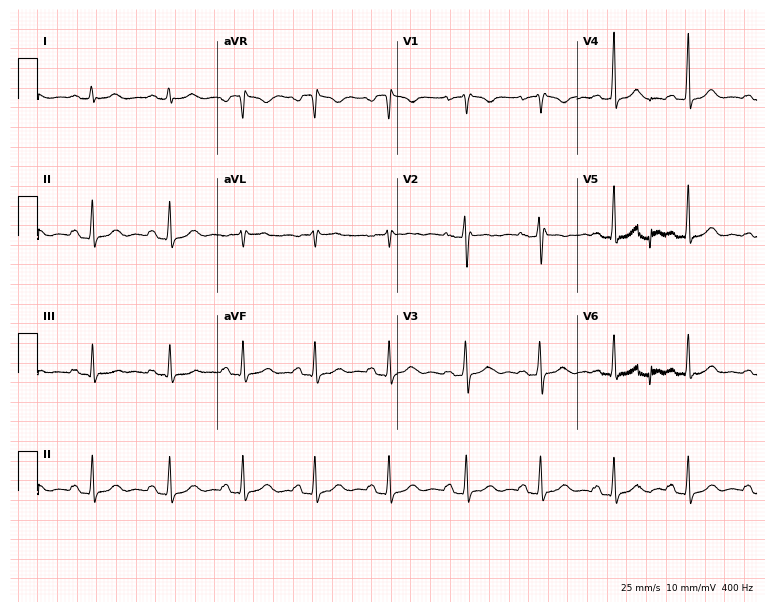
12-lead ECG (7.3-second recording at 400 Hz) from a 32-year-old female patient. Screened for six findings — first-degree AV block, right bundle branch block (RBBB), left bundle branch block (LBBB), sinus bradycardia, atrial fibrillation (AF), sinus tachycardia — none is recorded.